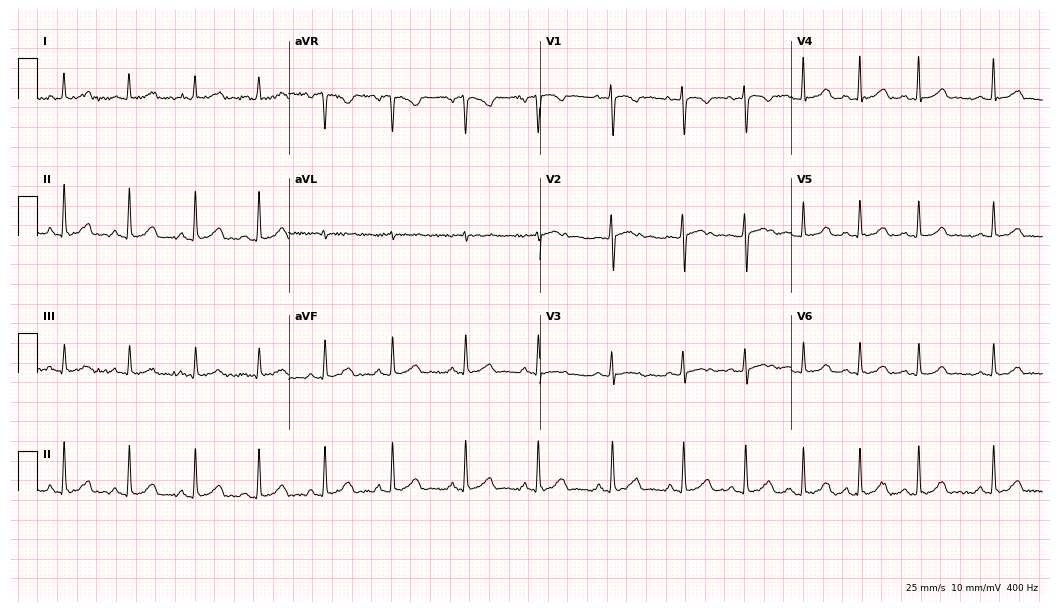
12-lead ECG from a female patient, 20 years old. Labelled as a normal ECG.